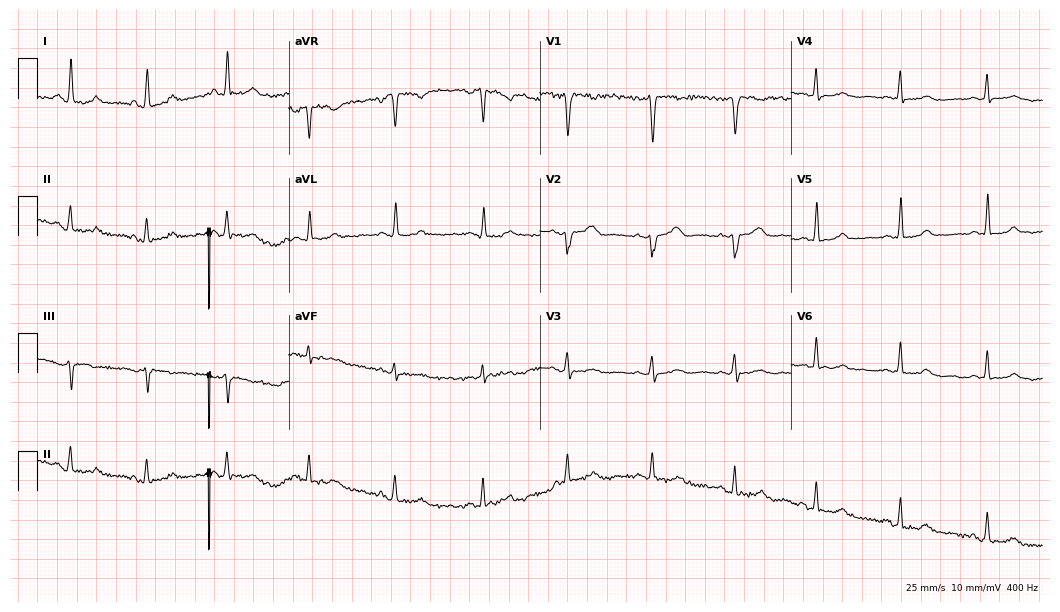
12-lead ECG from a female patient, 45 years old (10.2-second recording at 400 Hz). No first-degree AV block, right bundle branch block (RBBB), left bundle branch block (LBBB), sinus bradycardia, atrial fibrillation (AF) or sinus tachycardia recorded for this tracing. Only these six findings were labelled.